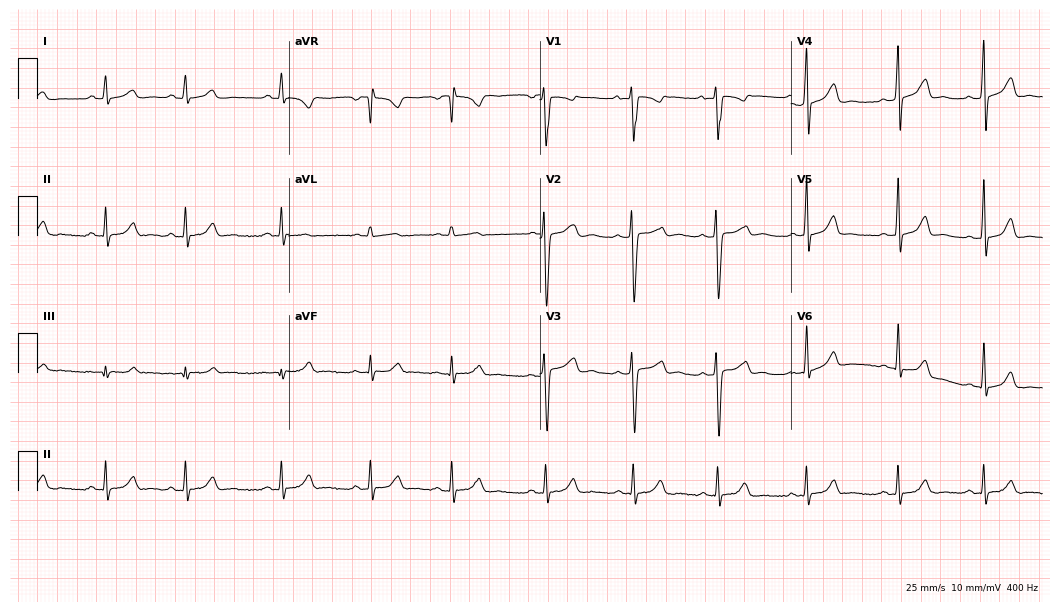
ECG — a woman, 20 years old. Labelled as a normal ECG.